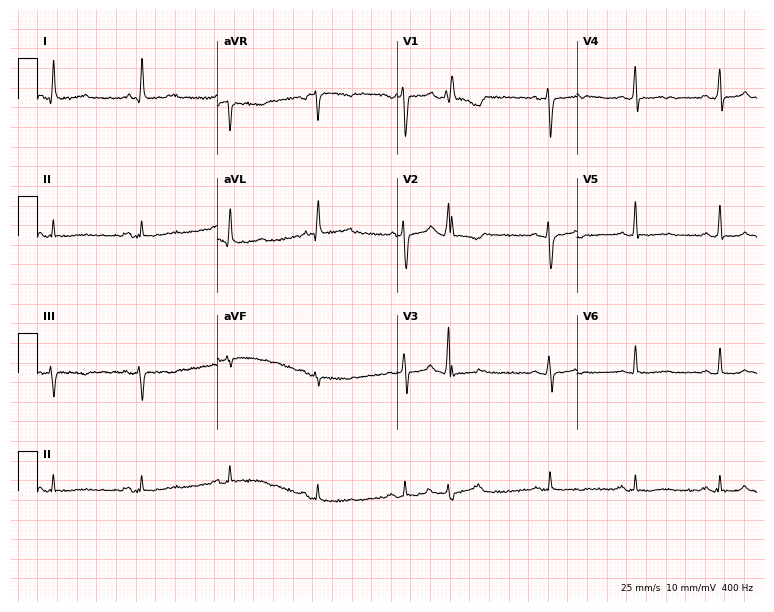
Resting 12-lead electrocardiogram. Patient: a 51-year-old woman. None of these six findings is recorded: first-degree AV block, right bundle branch block, left bundle branch block, sinus bradycardia, atrial fibrillation, sinus tachycardia.